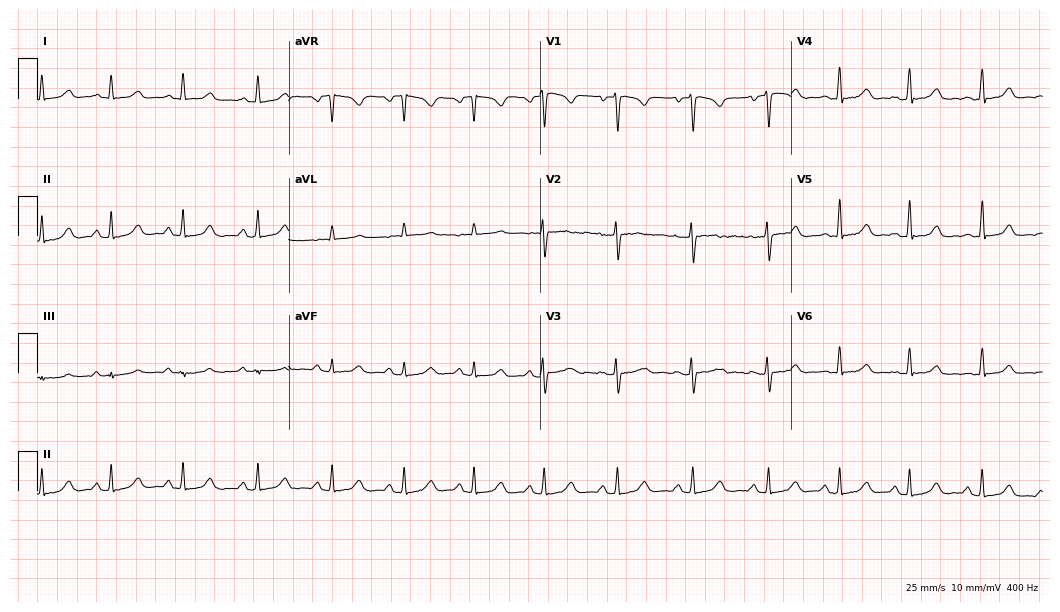
12-lead ECG from a female patient, 34 years old. Labelled as a normal ECG.